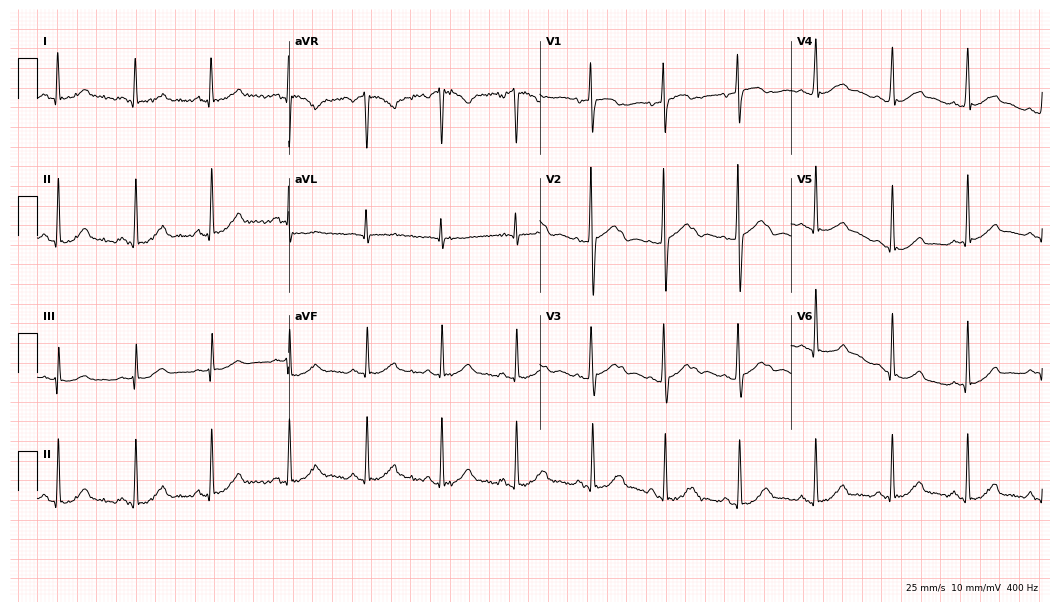
Electrocardiogram, a female patient, 28 years old. Overall reading on record: normal ECG.